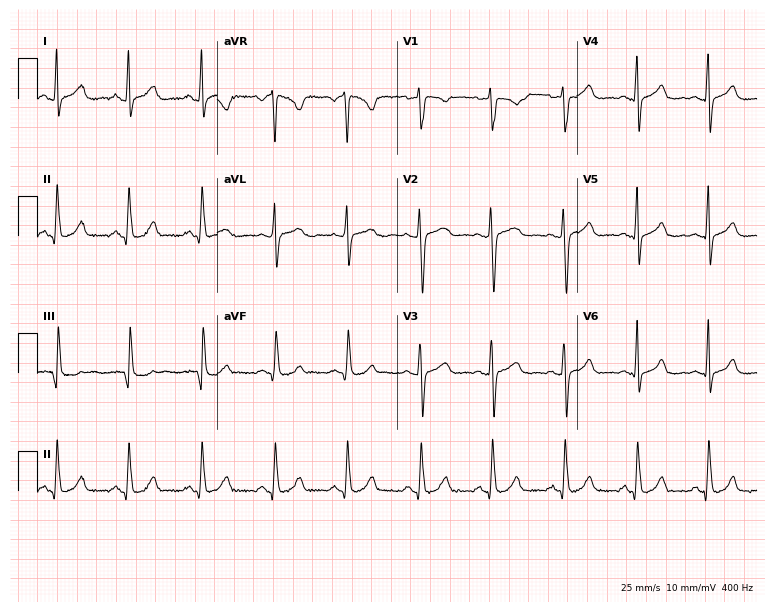
12-lead ECG (7.3-second recording at 400 Hz) from a 30-year-old female patient. Labelled as a normal ECG.